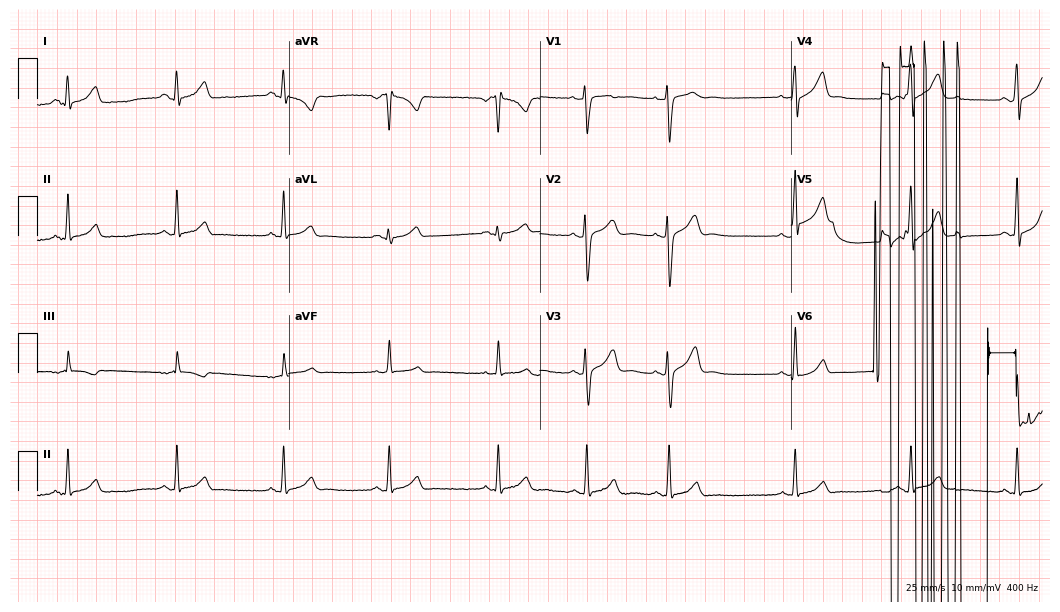
12-lead ECG from a female patient, 19 years old (10.2-second recording at 400 Hz). Recorded interpretation: within normal limits.